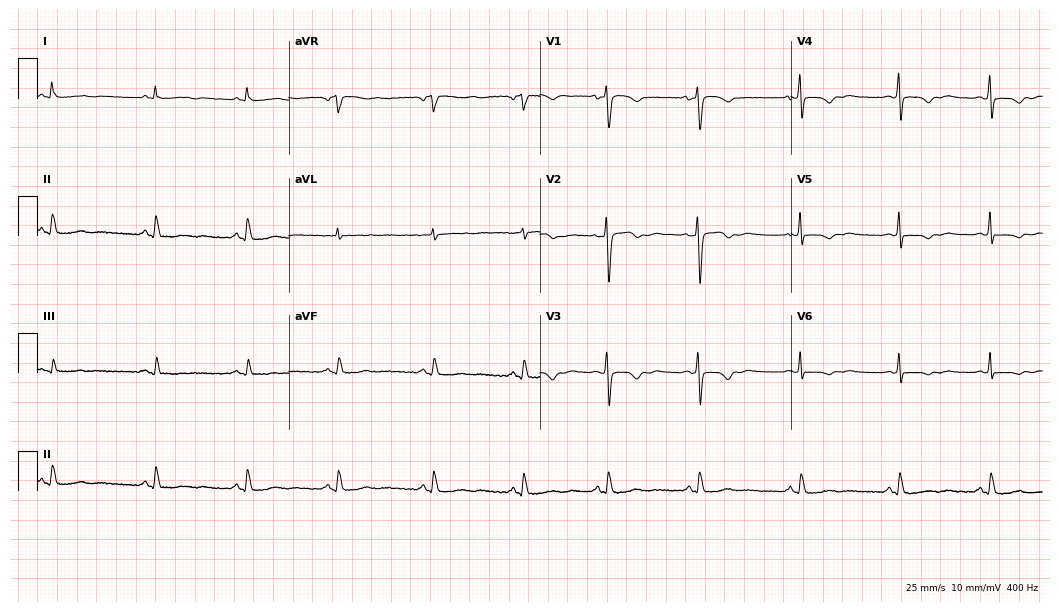
Electrocardiogram, a 53-year-old female patient. Of the six screened findings (first-degree AV block, right bundle branch block (RBBB), left bundle branch block (LBBB), sinus bradycardia, atrial fibrillation (AF), sinus tachycardia), none is recorded. Other findings, if any, are not listed.